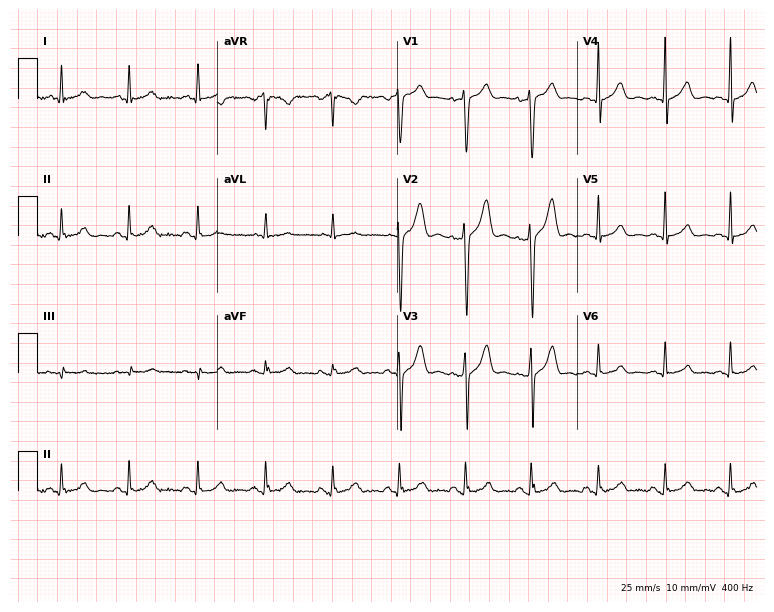
ECG (7.3-second recording at 400 Hz) — a 41-year-old man. Labelled as a normal ECG.